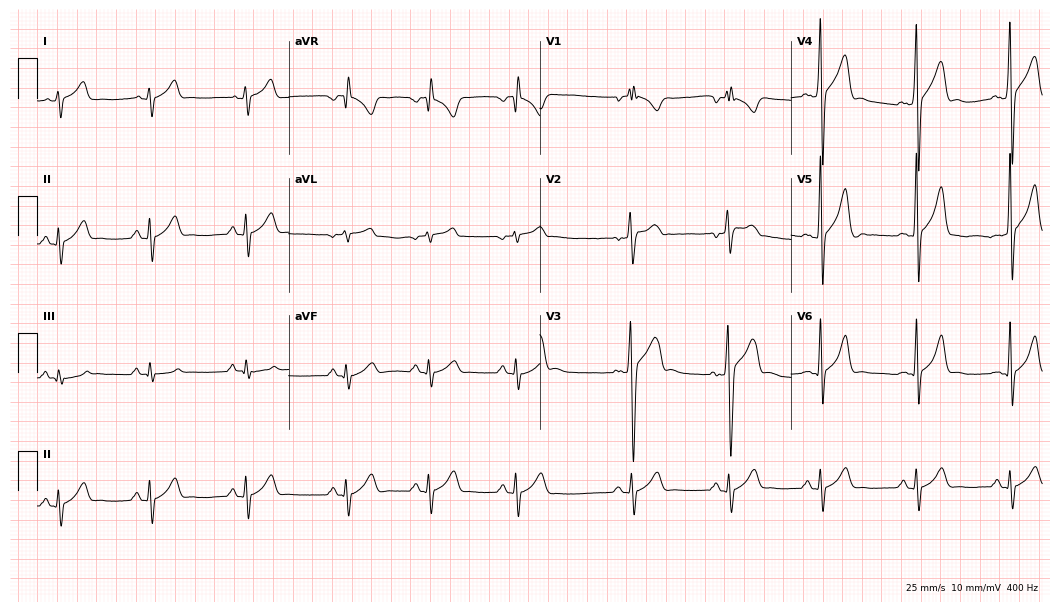
Electrocardiogram (10.2-second recording at 400 Hz), a 25-year-old man. Of the six screened findings (first-degree AV block, right bundle branch block (RBBB), left bundle branch block (LBBB), sinus bradycardia, atrial fibrillation (AF), sinus tachycardia), none is recorded.